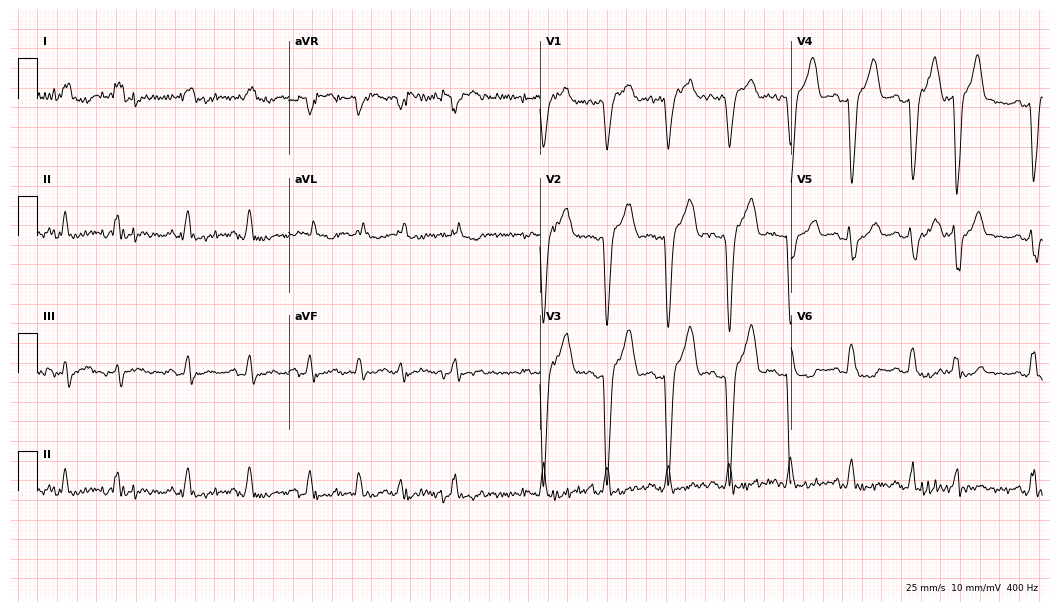
ECG (10.2-second recording at 400 Hz) — a 78-year-old man. Screened for six findings — first-degree AV block, right bundle branch block (RBBB), left bundle branch block (LBBB), sinus bradycardia, atrial fibrillation (AF), sinus tachycardia — none is recorded. Other findings, if any, are not listed.